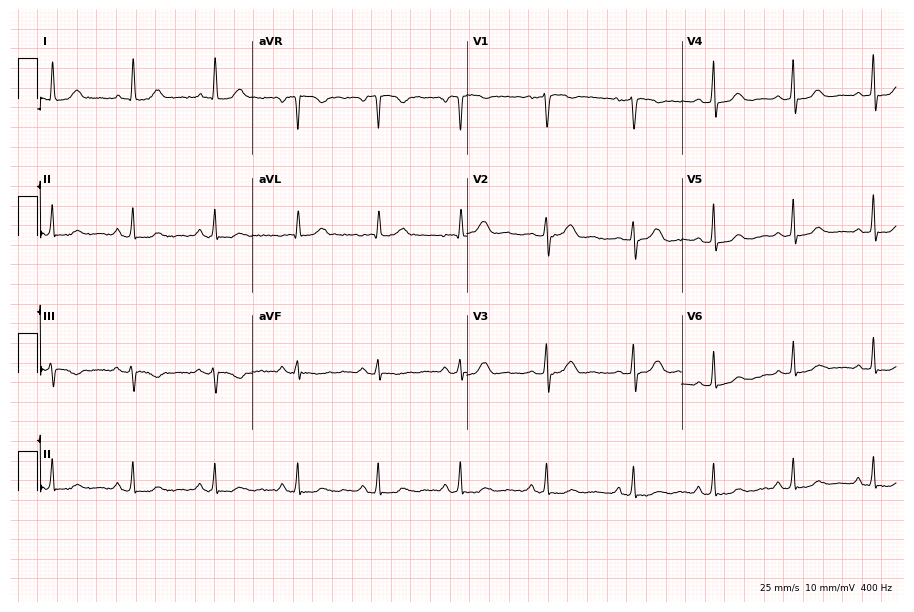
Electrocardiogram (8.8-second recording at 400 Hz), a 46-year-old female. Overall reading on record: normal ECG.